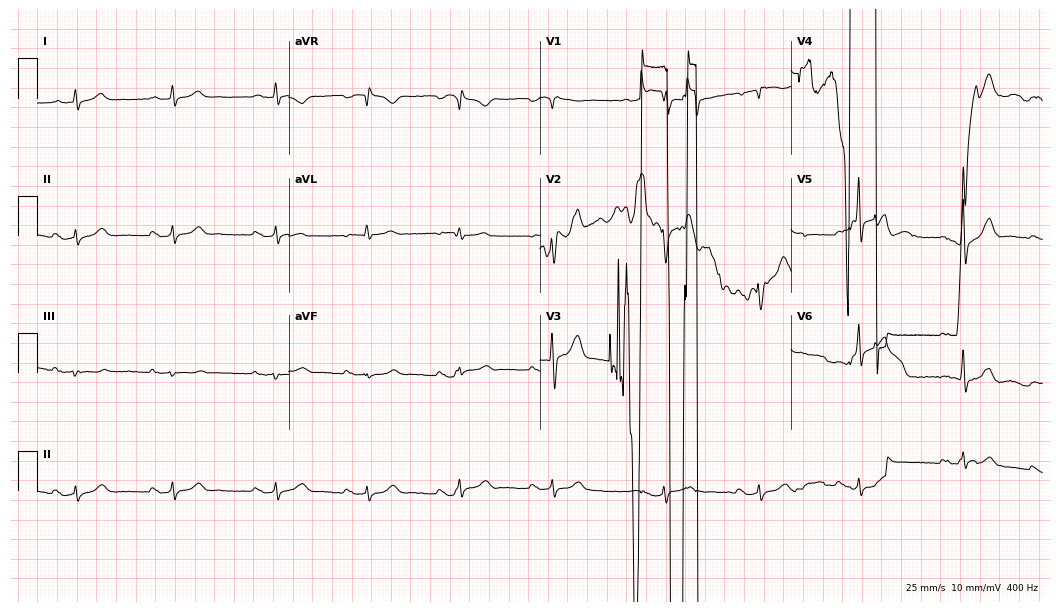
Resting 12-lead electrocardiogram. Patient: a 74-year-old male. None of these six findings is recorded: first-degree AV block, right bundle branch block (RBBB), left bundle branch block (LBBB), sinus bradycardia, atrial fibrillation (AF), sinus tachycardia. Only these six findings were labelled.